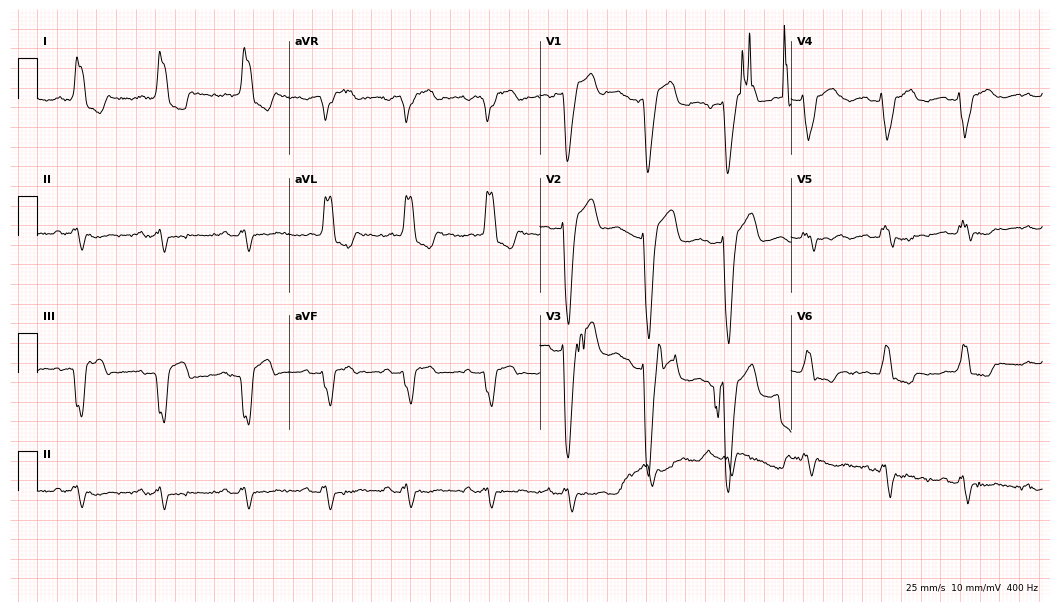
12-lead ECG from a 55-year-old female. Screened for six findings — first-degree AV block, right bundle branch block, left bundle branch block, sinus bradycardia, atrial fibrillation, sinus tachycardia — none is recorded.